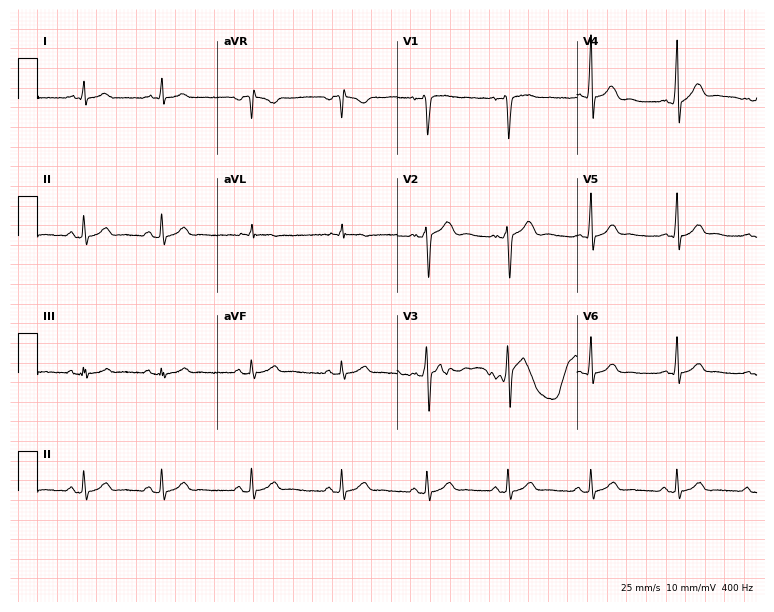
12-lead ECG (7.3-second recording at 400 Hz) from a 17-year-old male. Labelled as a normal ECG.